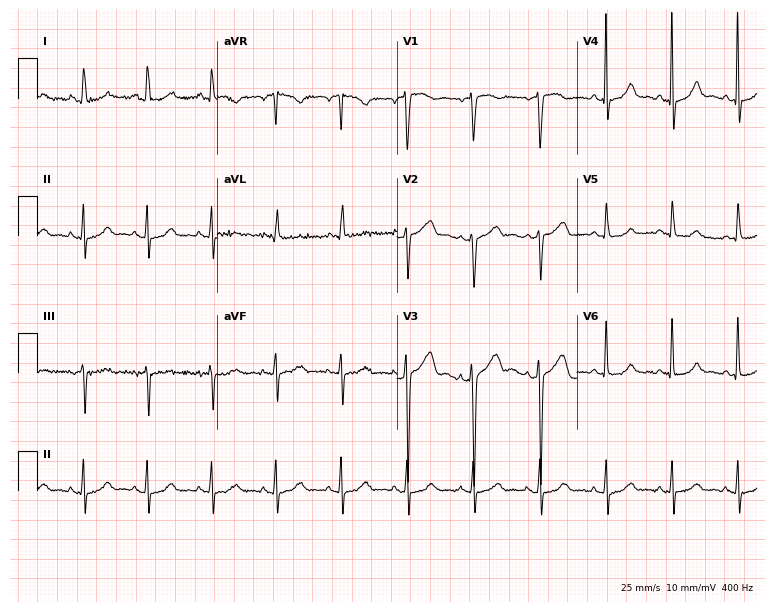
Electrocardiogram, a woman, 76 years old. Of the six screened findings (first-degree AV block, right bundle branch block (RBBB), left bundle branch block (LBBB), sinus bradycardia, atrial fibrillation (AF), sinus tachycardia), none is recorded.